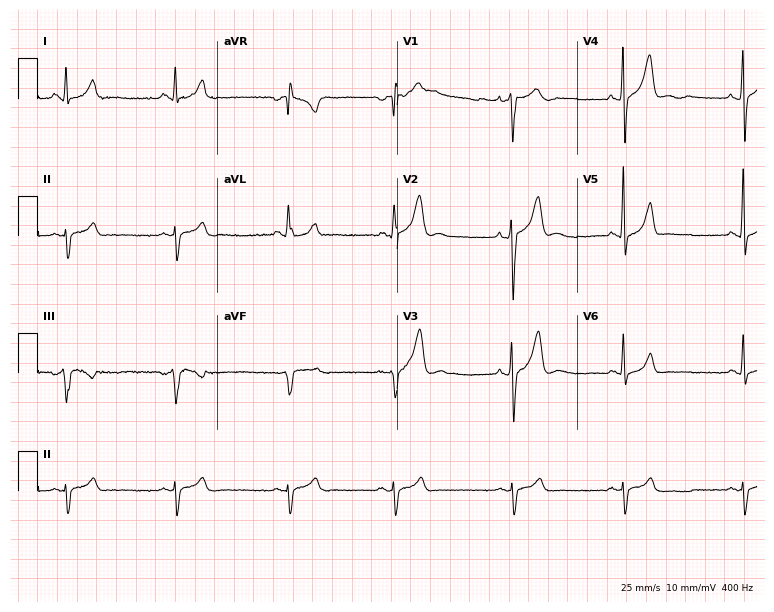
ECG (7.3-second recording at 400 Hz) — a 26-year-old man. Screened for six findings — first-degree AV block, right bundle branch block (RBBB), left bundle branch block (LBBB), sinus bradycardia, atrial fibrillation (AF), sinus tachycardia — none is recorded.